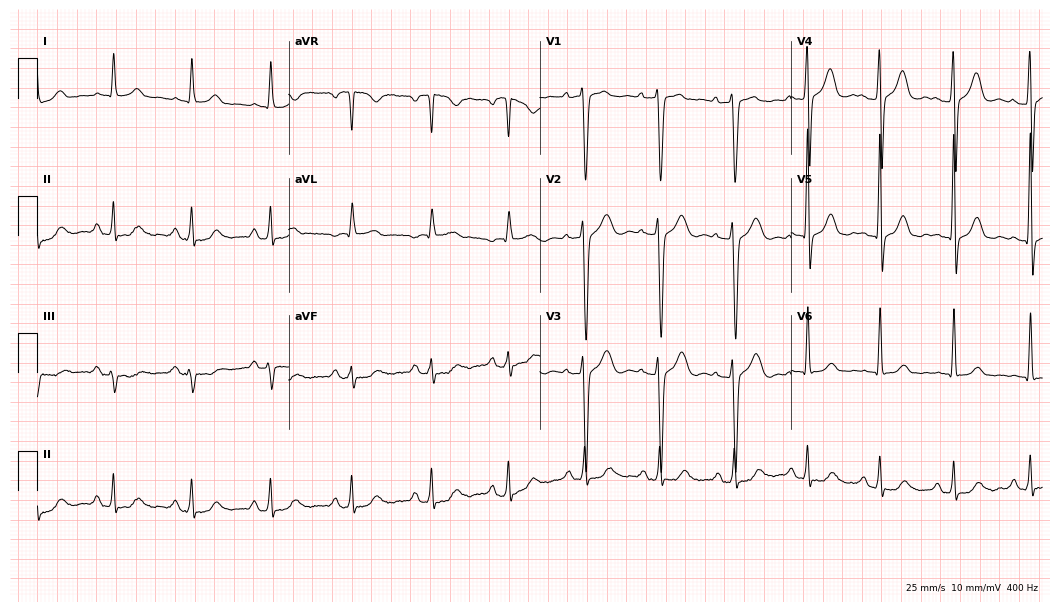
12-lead ECG from a 61-year-old male patient (10.2-second recording at 400 Hz). No first-degree AV block, right bundle branch block, left bundle branch block, sinus bradycardia, atrial fibrillation or sinus tachycardia recorded for this tracing. Only these six findings were labelled.